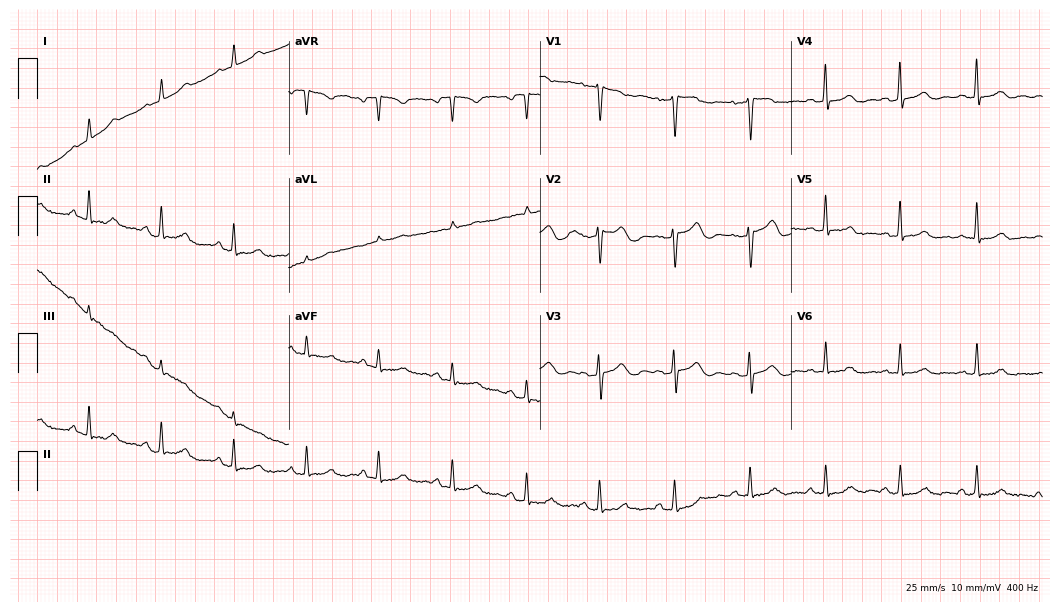
Electrocardiogram (10.2-second recording at 400 Hz), a 29-year-old woman. Of the six screened findings (first-degree AV block, right bundle branch block, left bundle branch block, sinus bradycardia, atrial fibrillation, sinus tachycardia), none is recorded.